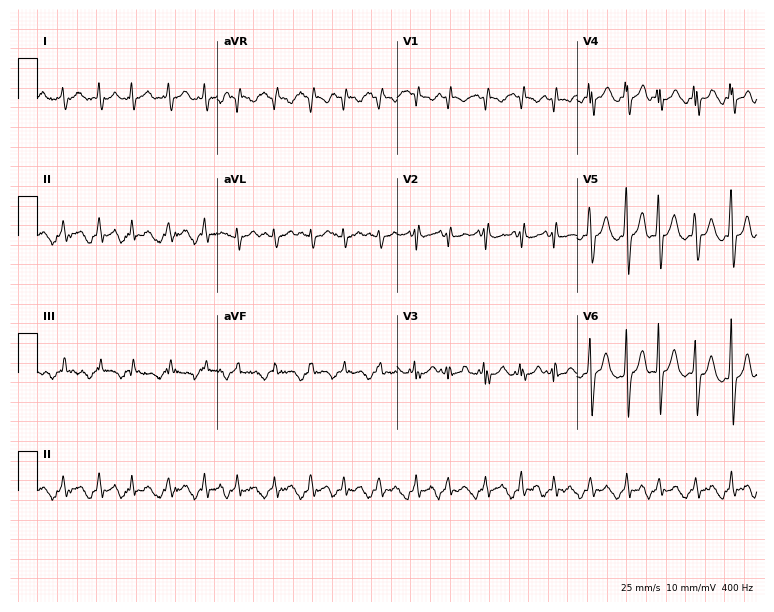
12-lead ECG from a 23-year-old woman (7.3-second recording at 400 Hz). Shows atrial fibrillation (AF), sinus tachycardia (a sinus rate of 100 beats per minute or more).